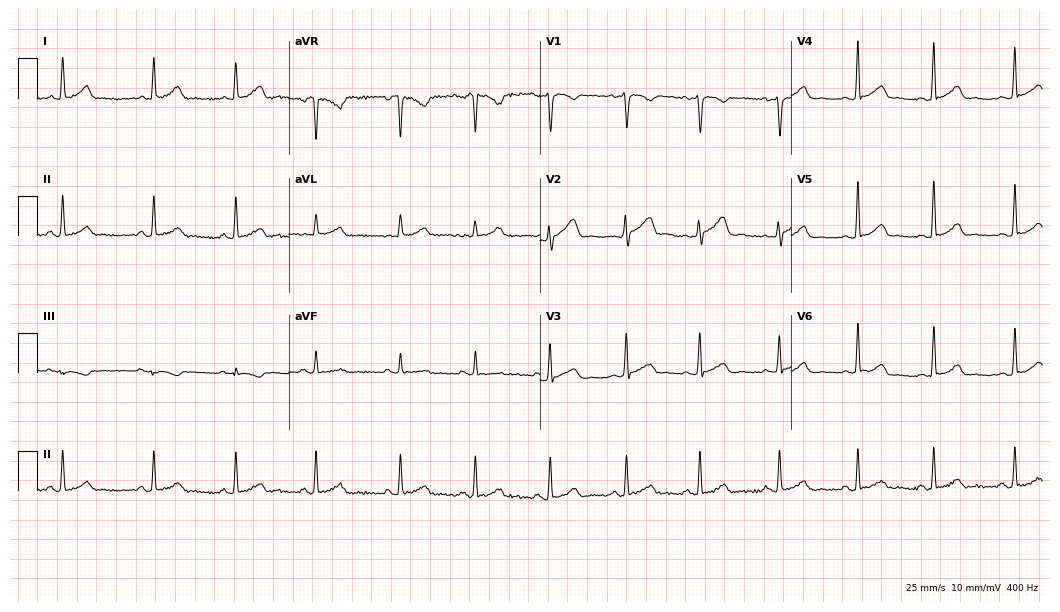
Standard 12-lead ECG recorded from a woman, 27 years old. Read as a normal ECG.